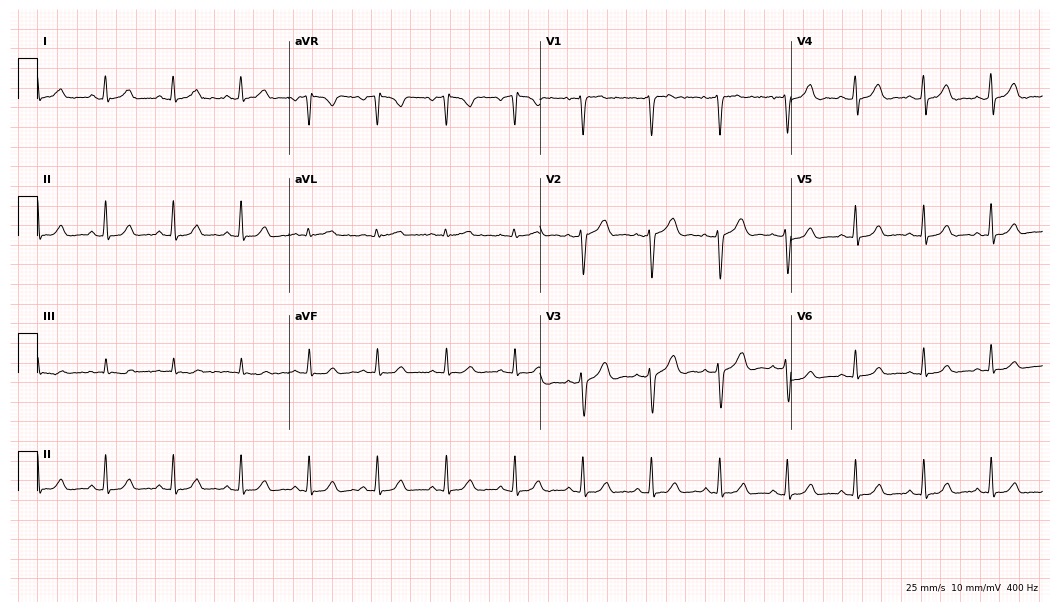
Standard 12-lead ECG recorded from a female patient, 41 years old. Read as a normal ECG.